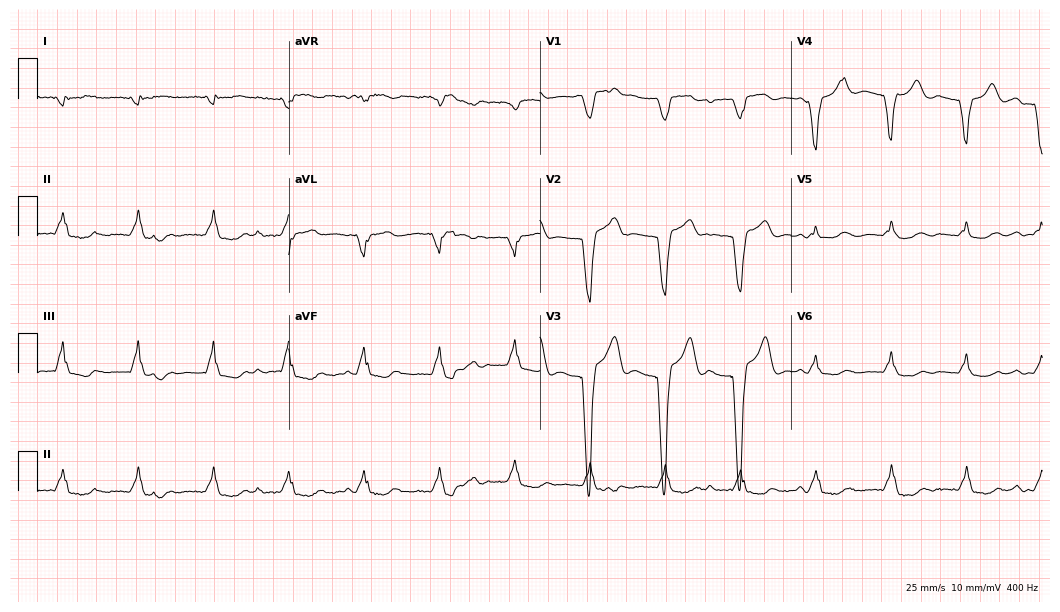
ECG (10.2-second recording at 400 Hz) — an 80-year-old female. Screened for six findings — first-degree AV block, right bundle branch block (RBBB), left bundle branch block (LBBB), sinus bradycardia, atrial fibrillation (AF), sinus tachycardia — none is recorded. Findings outside these six are not listed.